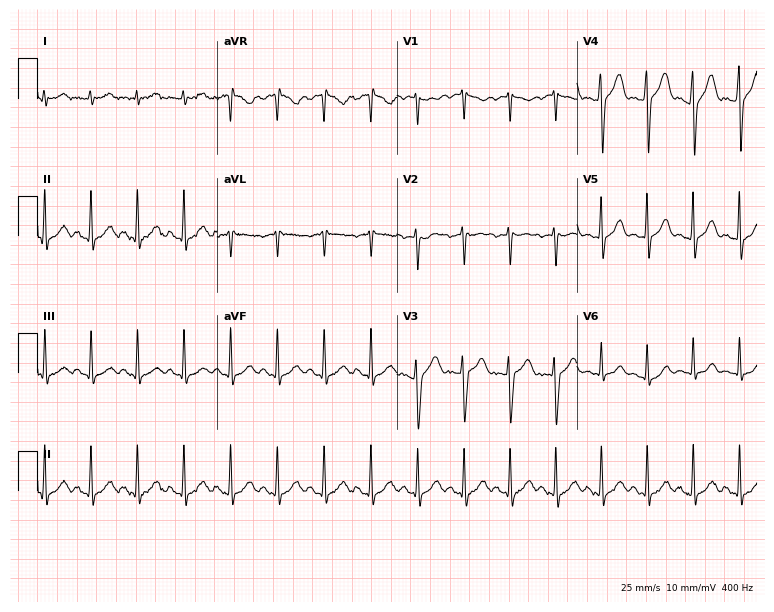
Resting 12-lead electrocardiogram. Patient: a 23-year-old woman. The tracing shows sinus tachycardia (a sinus rate of 100 beats per minute or more).